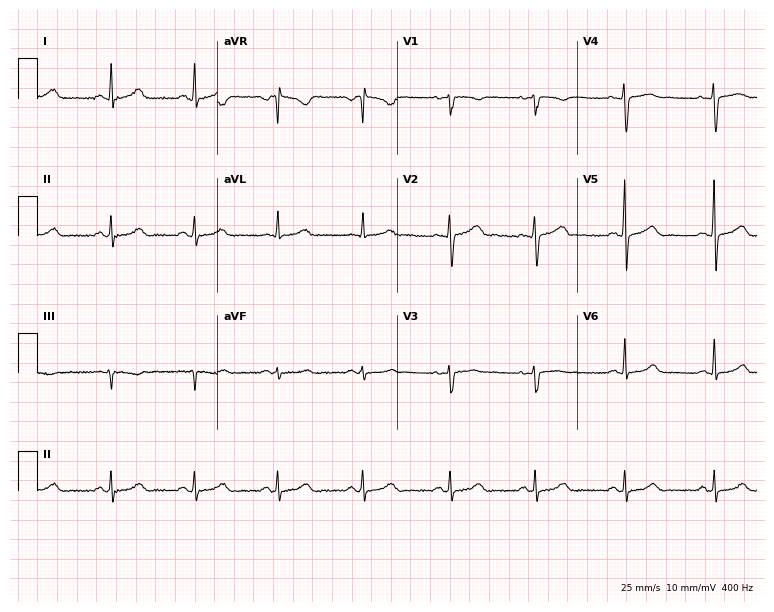
12-lead ECG from a female patient, 41 years old (7.3-second recording at 400 Hz). Recorded interpretation: within normal limits.